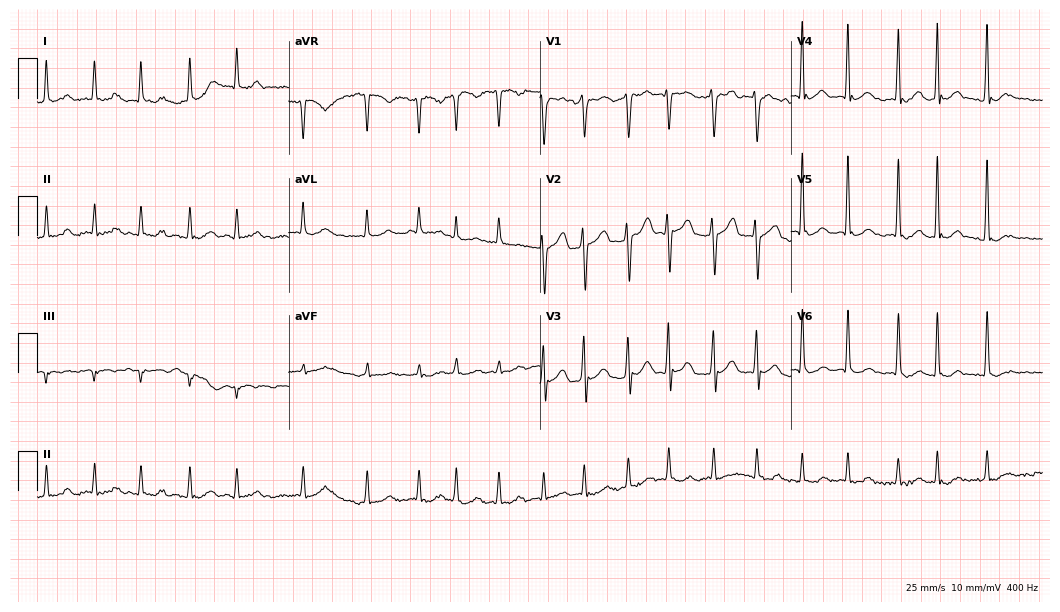
12-lead ECG from a male patient, 58 years old (10.2-second recording at 400 Hz). Shows atrial fibrillation.